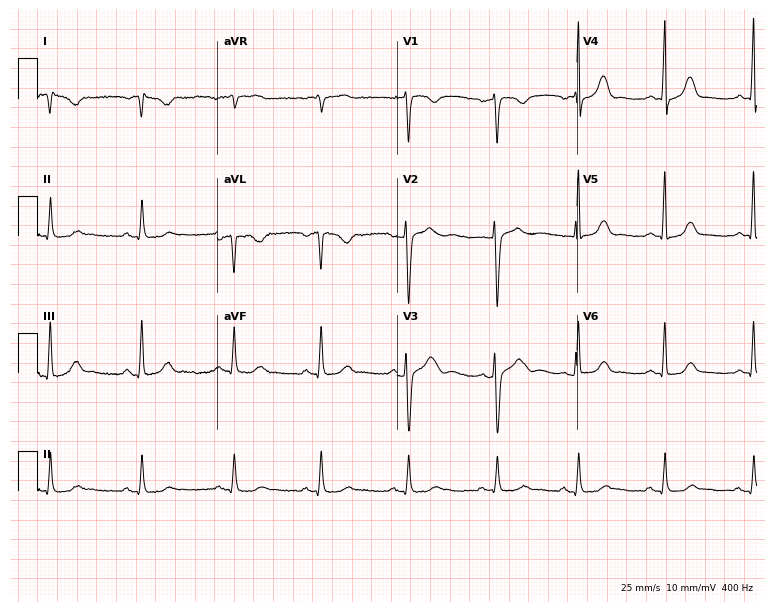
Standard 12-lead ECG recorded from a woman, 37 years old (7.3-second recording at 400 Hz). None of these six findings is recorded: first-degree AV block, right bundle branch block (RBBB), left bundle branch block (LBBB), sinus bradycardia, atrial fibrillation (AF), sinus tachycardia. Findings outside these six are not listed.